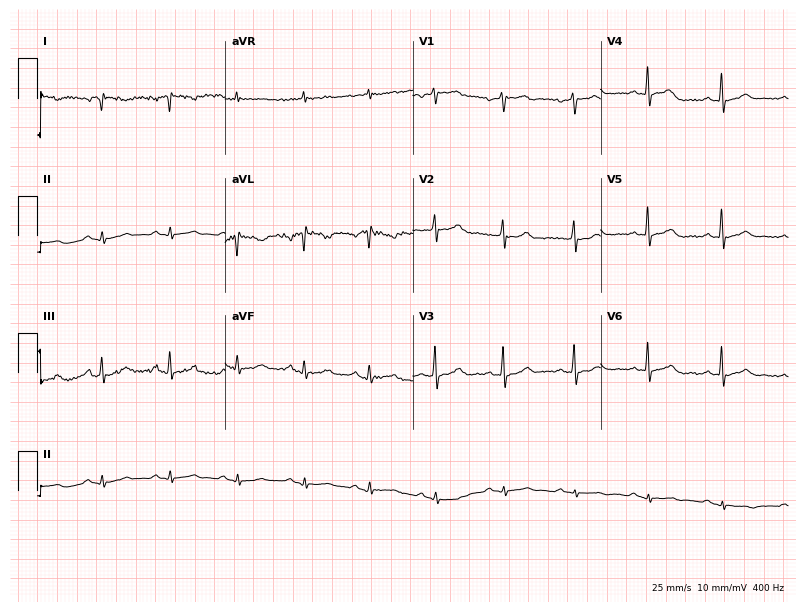
12-lead ECG (7.7-second recording at 400 Hz) from a 48-year-old woman. Labelled as a normal ECG.